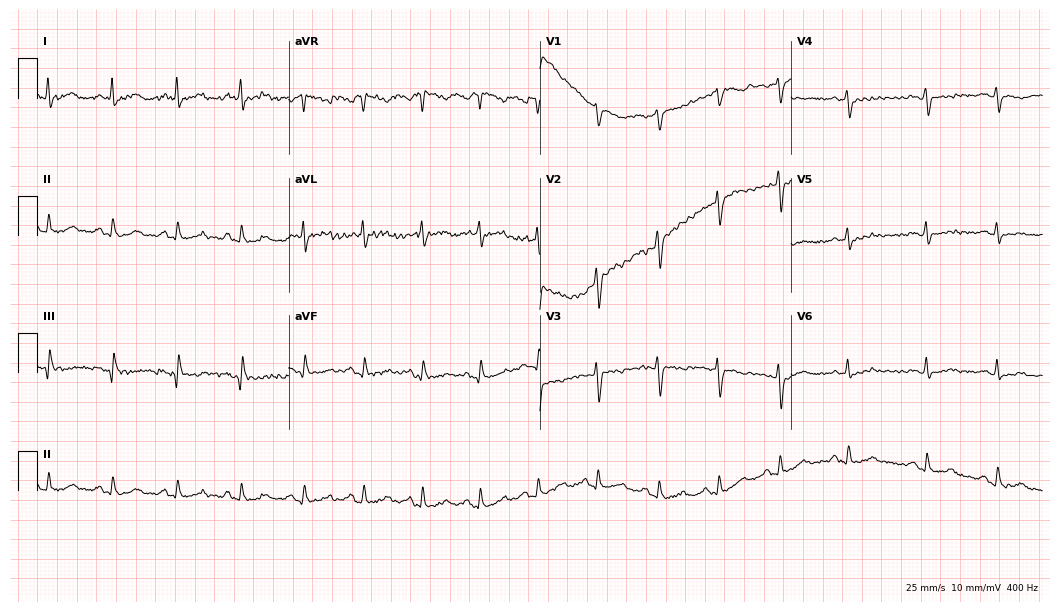
12-lead ECG from a female patient, 27 years old (10.2-second recording at 400 Hz). No first-degree AV block, right bundle branch block, left bundle branch block, sinus bradycardia, atrial fibrillation or sinus tachycardia recorded for this tracing.